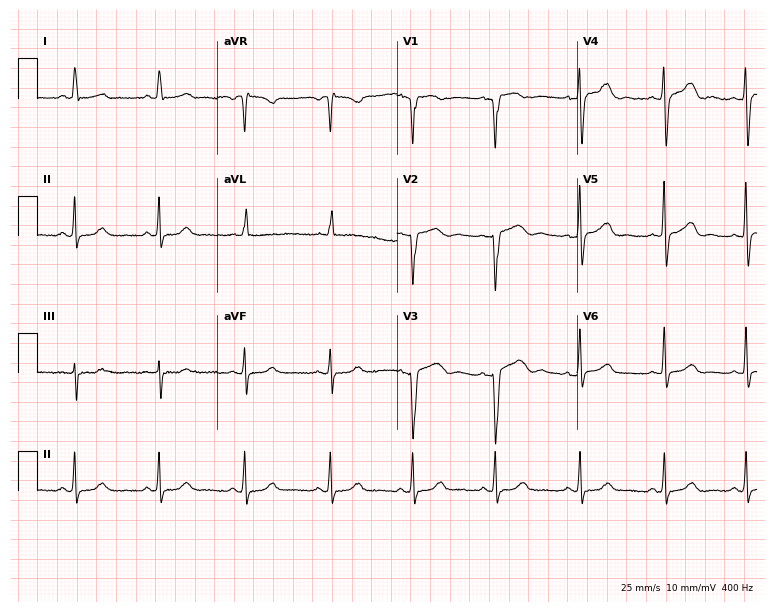
Electrocardiogram, a woman, 52 years old. Of the six screened findings (first-degree AV block, right bundle branch block, left bundle branch block, sinus bradycardia, atrial fibrillation, sinus tachycardia), none is recorded.